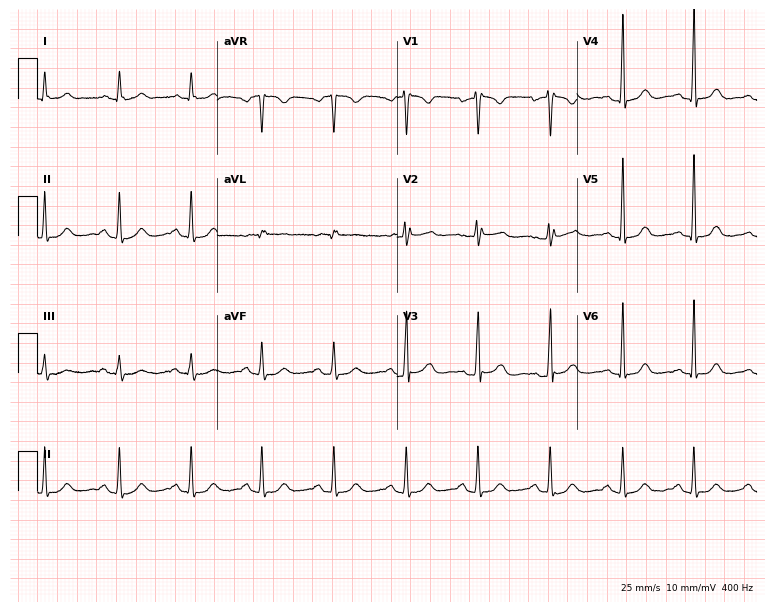
Resting 12-lead electrocardiogram. Patient: a female, 56 years old. Read as a normal ECG.